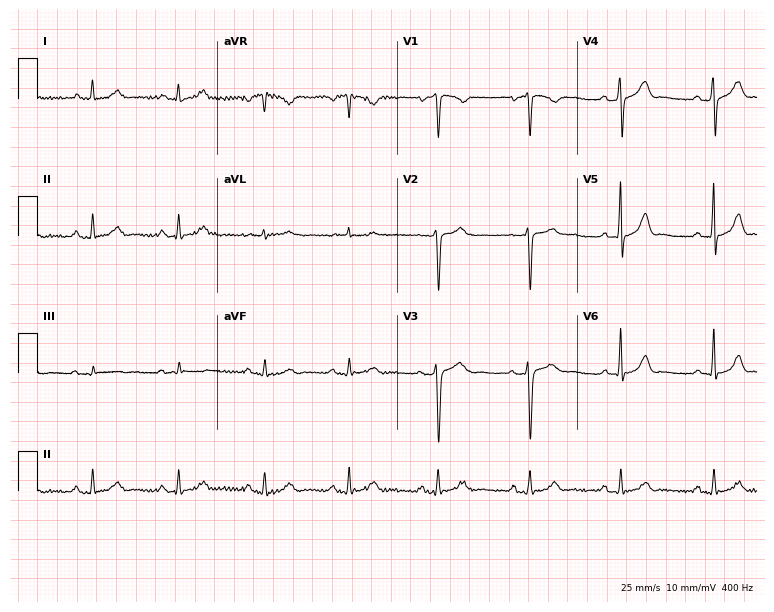
12-lead ECG from a woman, 31 years old. Labelled as a normal ECG.